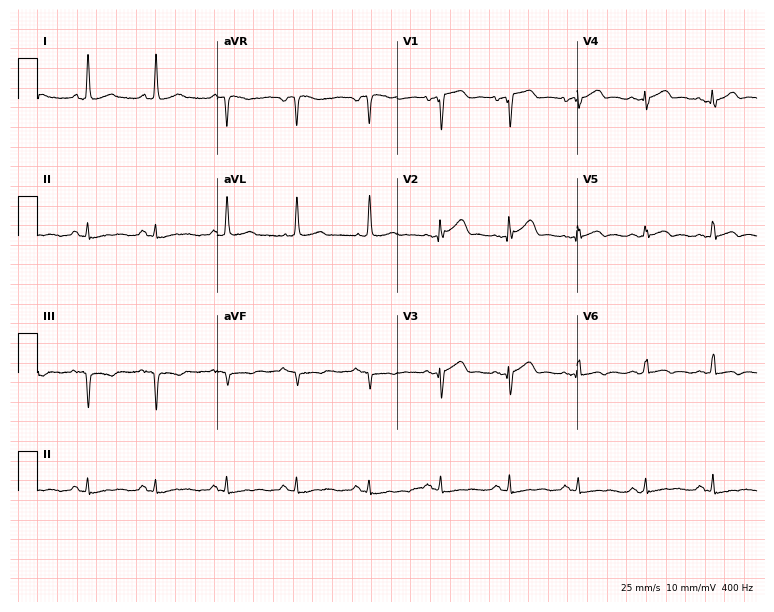
12-lead ECG (7.3-second recording at 400 Hz) from a man, 51 years old. Screened for six findings — first-degree AV block, right bundle branch block, left bundle branch block, sinus bradycardia, atrial fibrillation, sinus tachycardia — none is recorded. Findings outside these six are not listed.